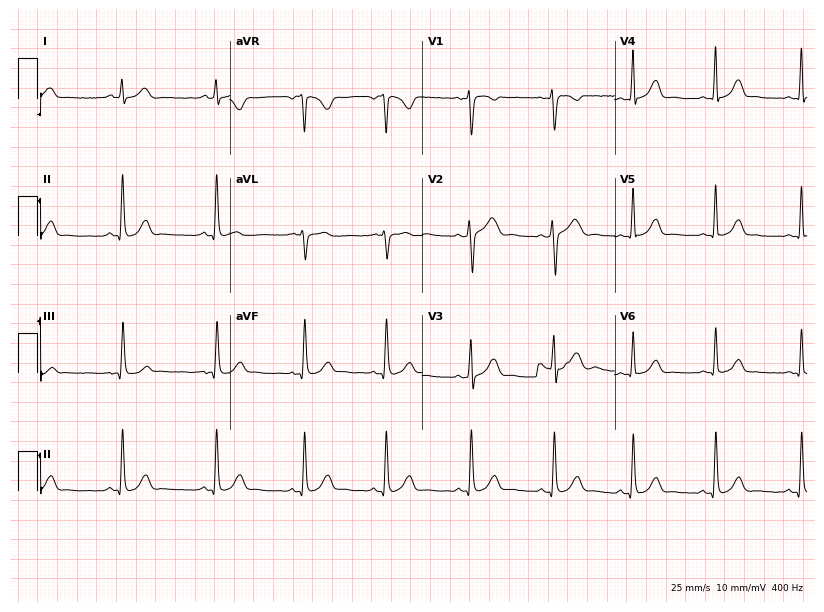
ECG — a female patient, 24 years old. Screened for six findings — first-degree AV block, right bundle branch block, left bundle branch block, sinus bradycardia, atrial fibrillation, sinus tachycardia — none is recorded.